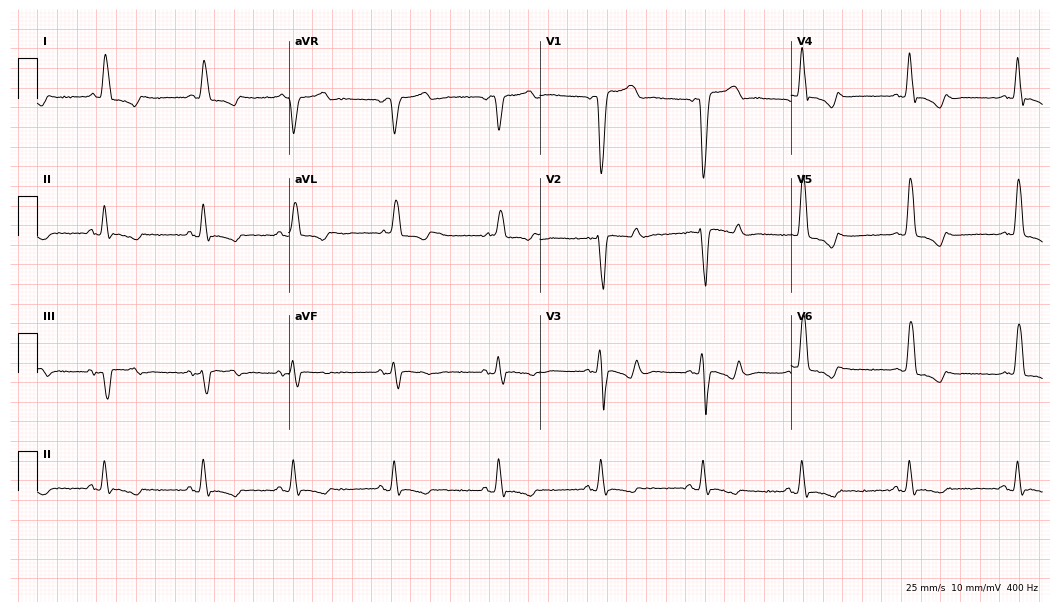
12-lead ECG (10.2-second recording at 400 Hz) from an 80-year-old woman. Findings include left bundle branch block.